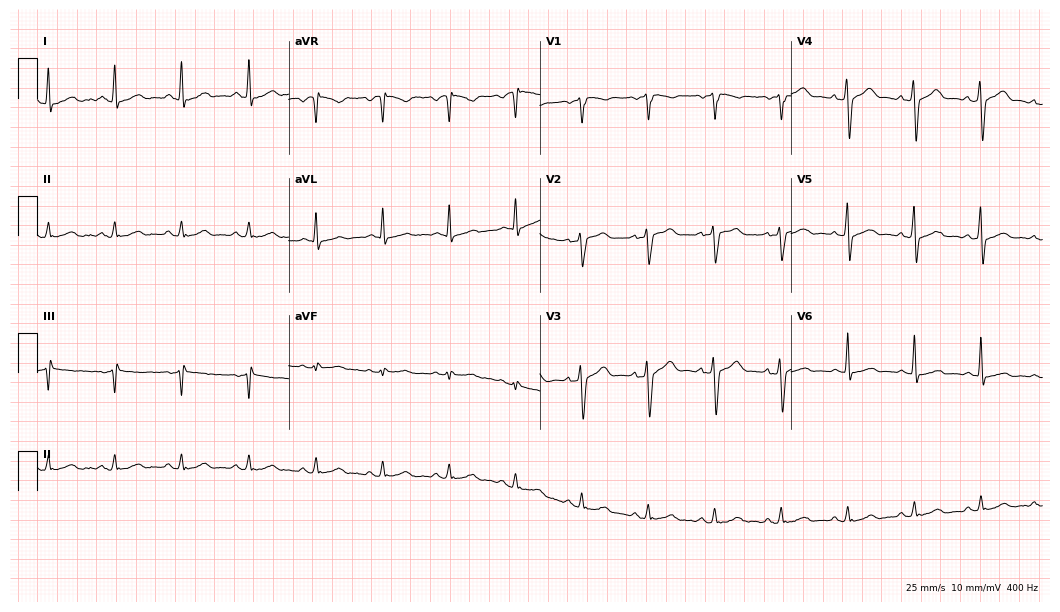
12-lead ECG from a 37-year-old male patient. Screened for six findings — first-degree AV block, right bundle branch block, left bundle branch block, sinus bradycardia, atrial fibrillation, sinus tachycardia — none is recorded.